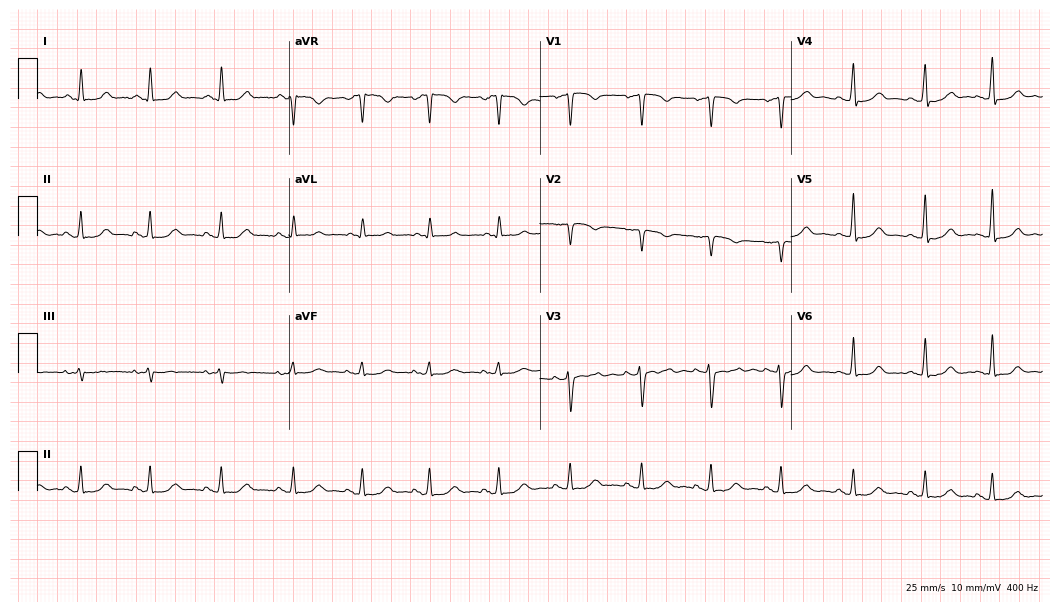
Electrocardiogram, a 47-year-old female patient. Overall reading on record: normal ECG.